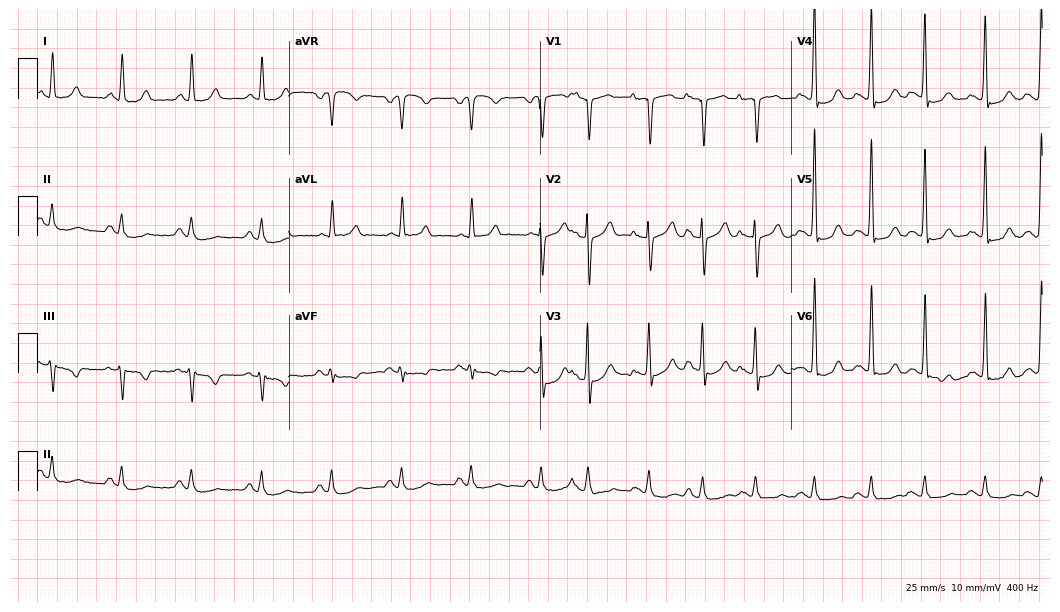
Standard 12-lead ECG recorded from a male patient, 80 years old. None of these six findings is recorded: first-degree AV block, right bundle branch block, left bundle branch block, sinus bradycardia, atrial fibrillation, sinus tachycardia.